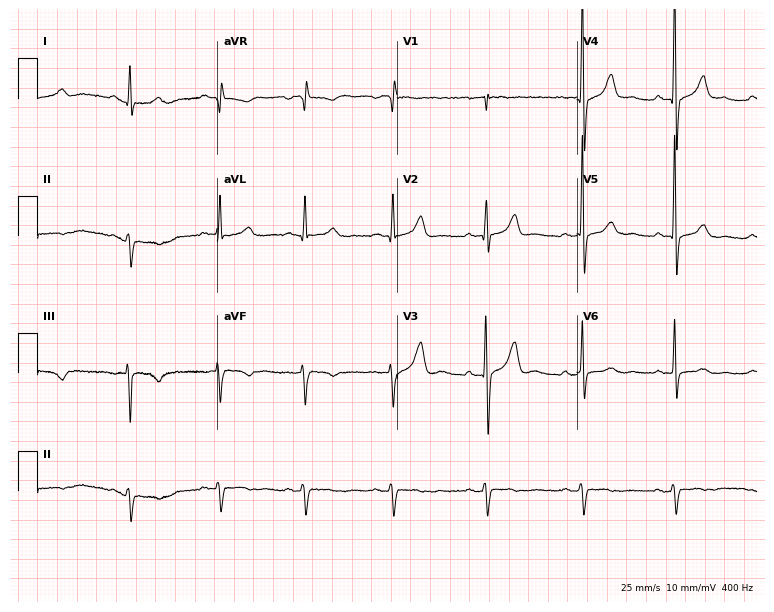
Resting 12-lead electrocardiogram. Patient: a male, 36 years old. Read as a normal ECG.